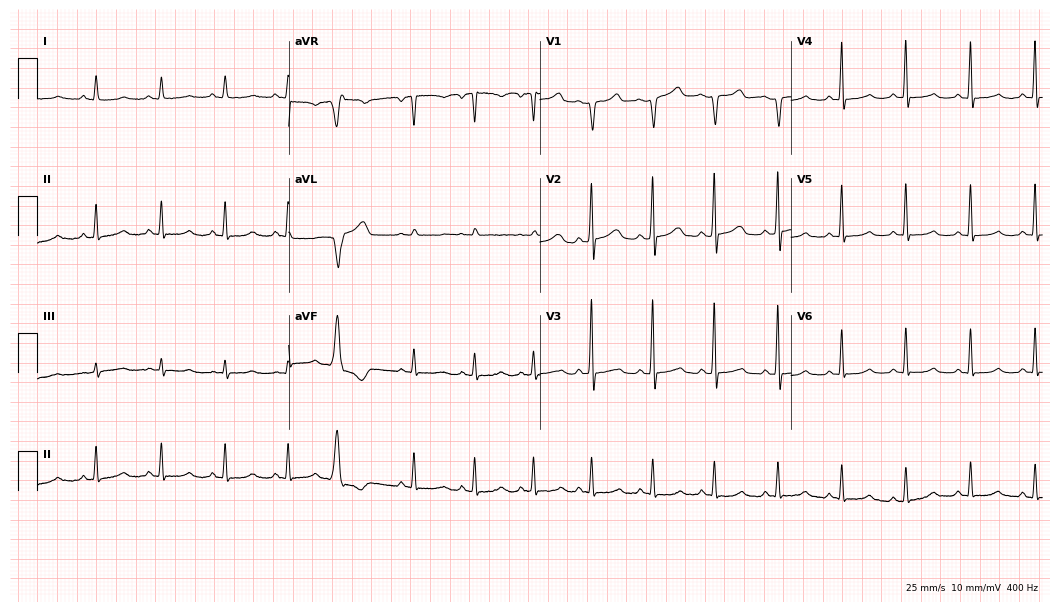
12-lead ECG from a woman, 59 years old. No first-degree AV block, right bundle branch block (RBBB), left bundle branch block (LBBB), sinus bradycardia, atrial fibrillation (AF) or sinus tachycardia recorded for this tracing.